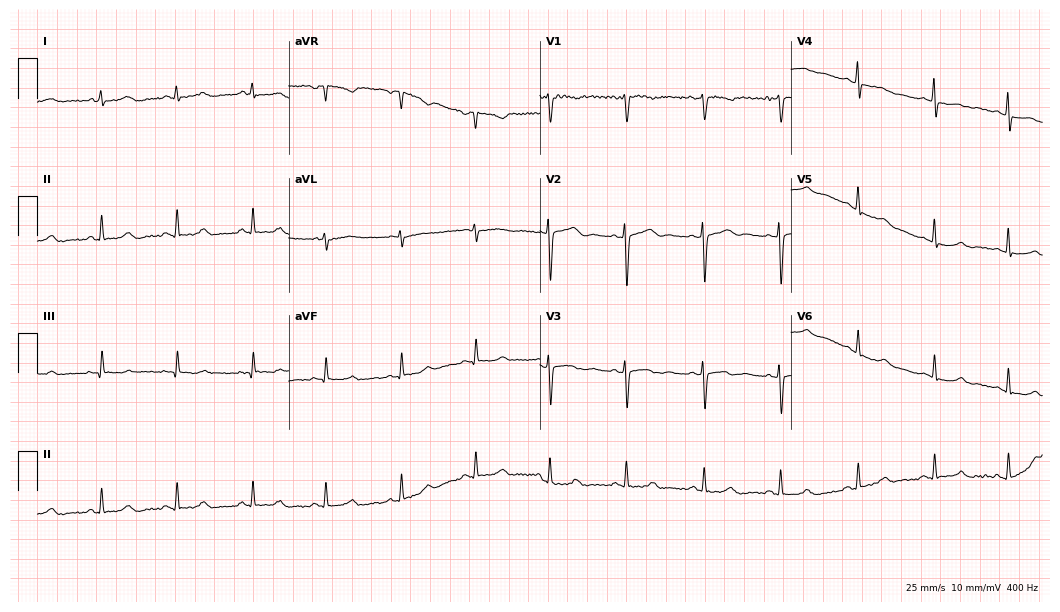
12-lead ECG from a female, 23 years old. Recorded interpretation: within normal limits.